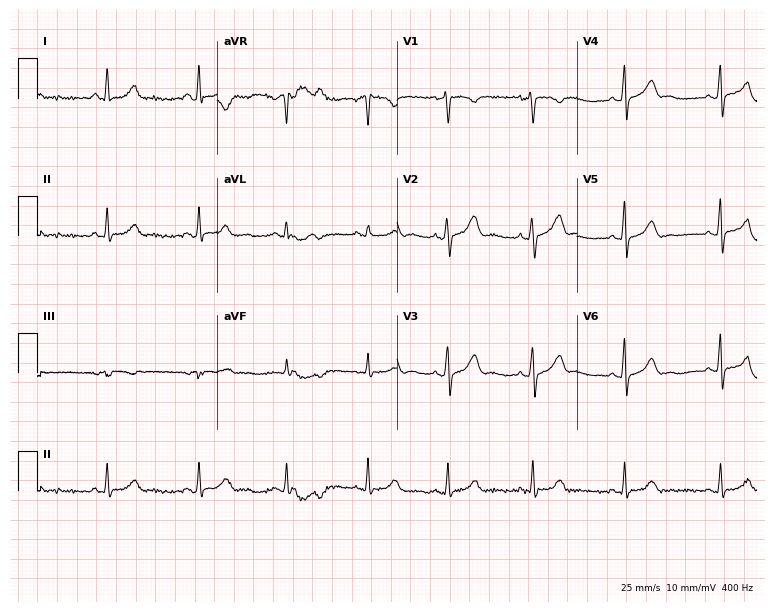
ECG (7.3-second recording at 400 Hz) — a 32-year-old female patient. Labelled as a normal ECG.